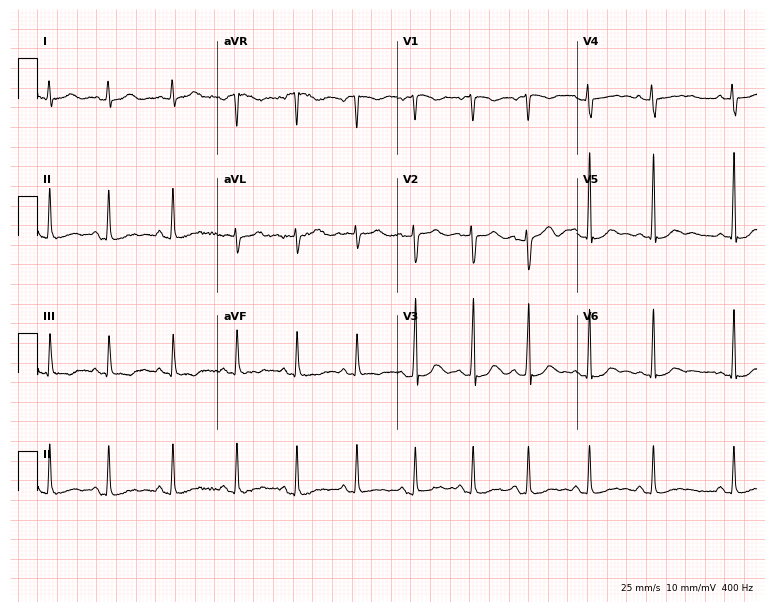
Electrocardiogram, a female patient, 17 years old. Overall reading on record: normal ECG.